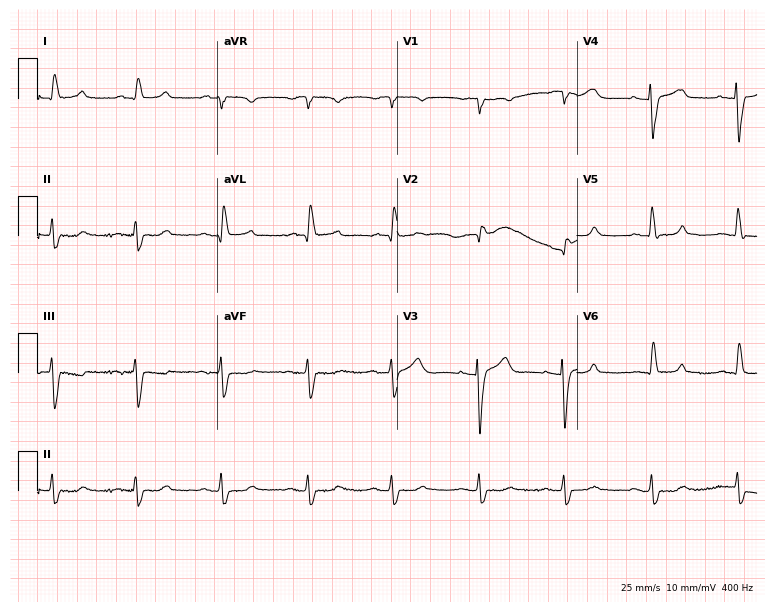
Electrocardiogram, a female patient, 78 years old. Of the six screened findings (first-degree AV block, right bundle branch block (RBBB), left bundle branch block (LBBB), sinus bradycardia, atrial fibrillation (AF), sinus tachycardia), none is recorded. Only these six findings were labelled.